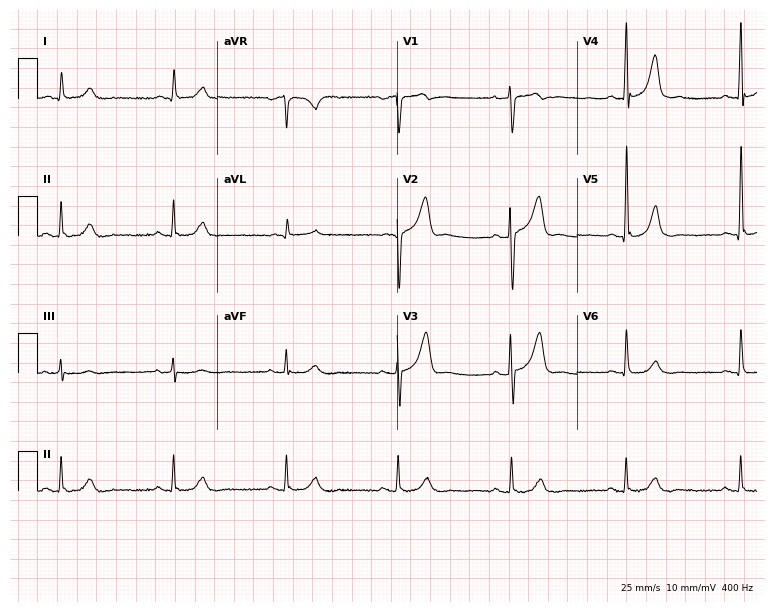
12-lead ECG from a man, 62 years old (7.3-second recording at 400 Hz). No first-degree AV block, right bundle branch block (RBBB), left bundle branch block (LBBB), sinus bradycardia, atrial fibrillation (AF) or sinus tachycardia recorded for this tracing. Only these six findings were labelled.